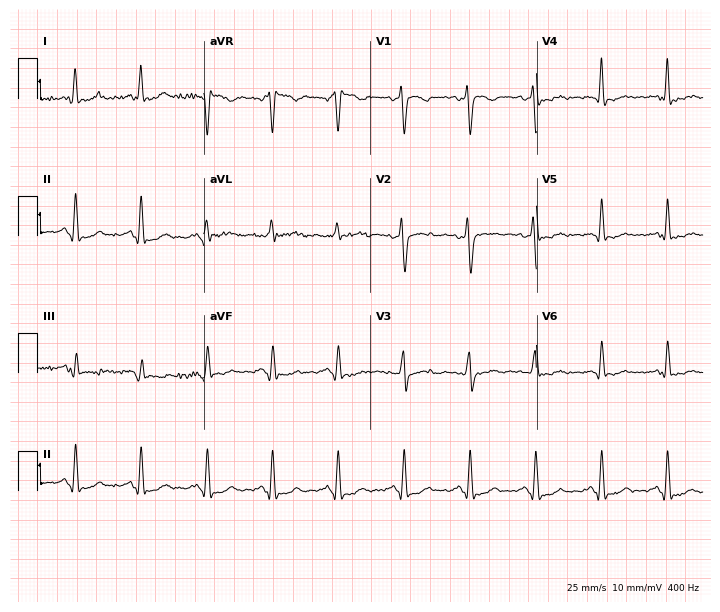
Standard 12-lead ECG recorded from a woman, 37 years old (6.8-second recording at 400 Hz). None of these six findings is recorded: first-degree AV block, right bundle branch block, left bundle branch block, sinus bradycardia, atrial fibrillation, sinus tachycardia.